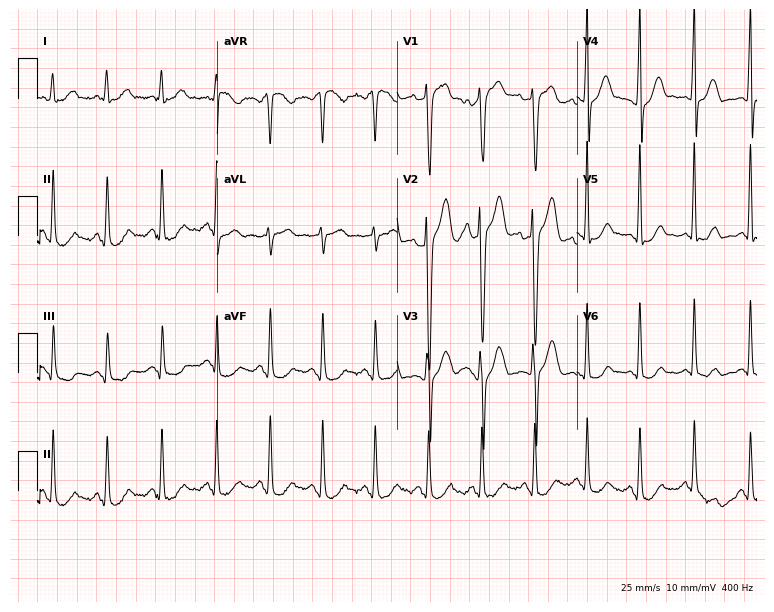
ECG — a man, 24 years old. Screened for six findings — first-degree AV block, right bundle branch block, left bundle branch block, sinus bradycardia, atrial fibrillation, sinus tachycardia — none is recorded.